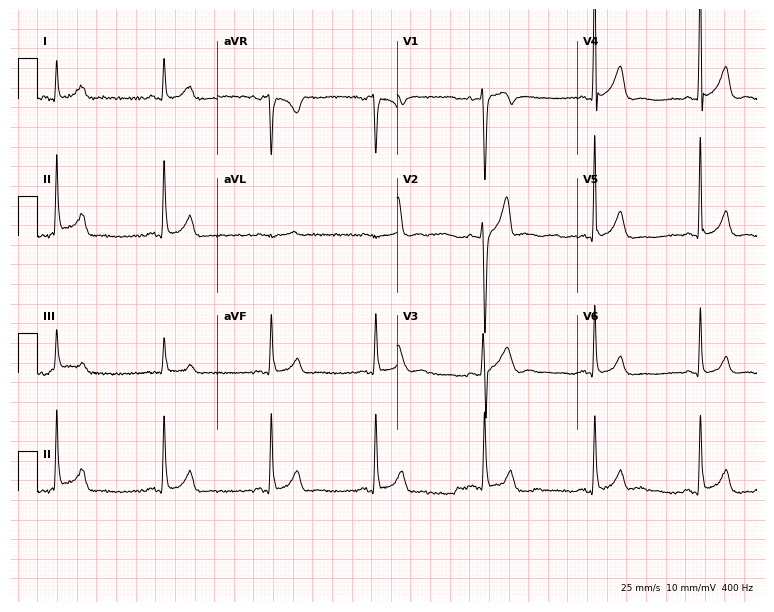
12-lead ECG from a 47-year-old male patient (7.3-second recording at 400 Hz). No first-degree AV block, right bundle branch block (RBBB), left bundle branch block (LBBB), sinus bradycardia, atrial fibrillation (AF) or sinus tachycardia recorded for this tracing. Other findings, if any, are not listed.